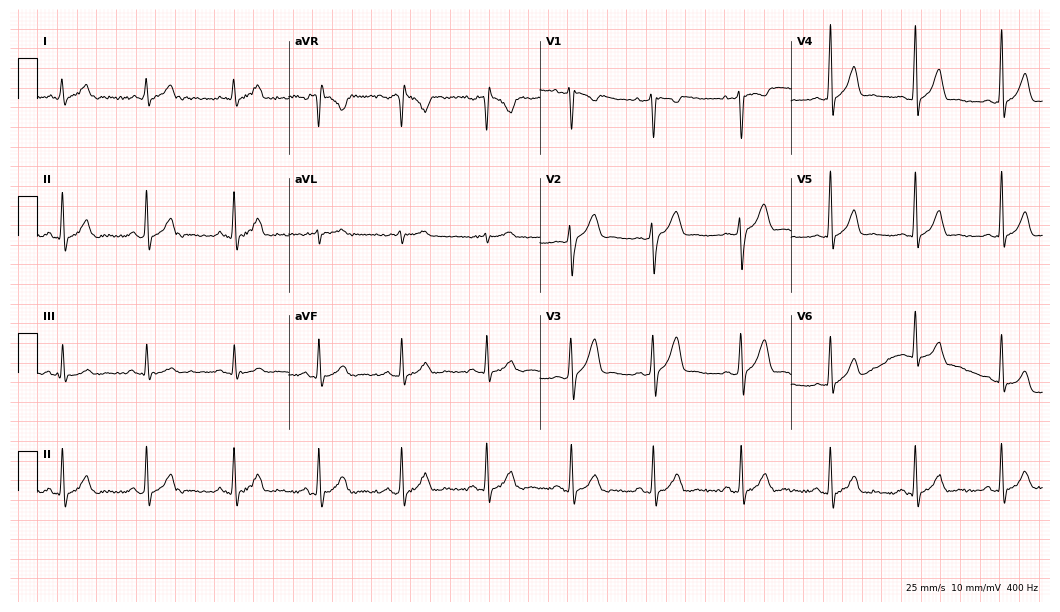
Resting 12-lead electrocardiogram. Patient: a male, 27 years old. Read as a normal ECG.